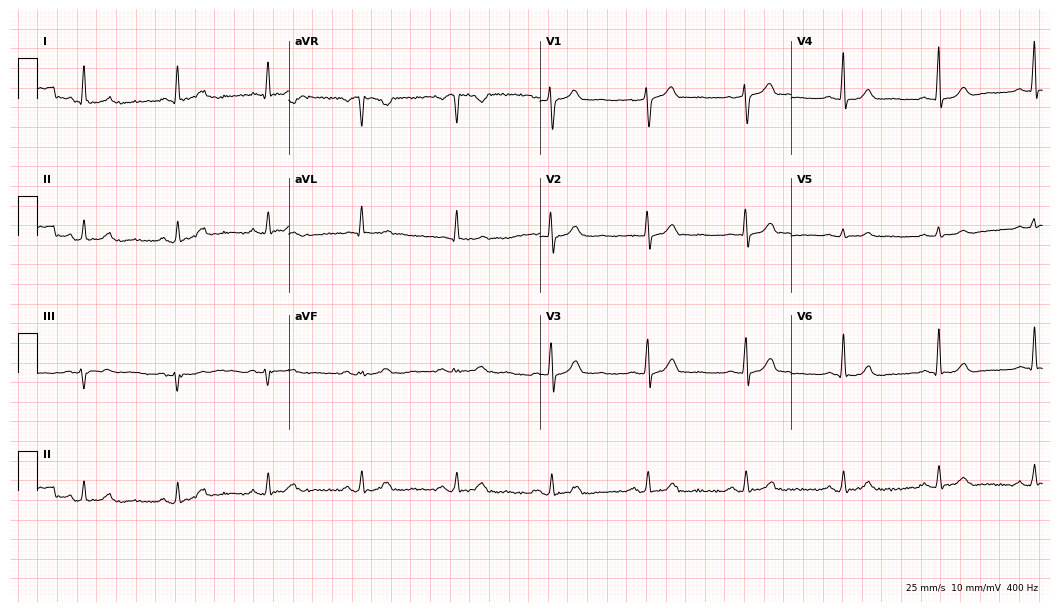
12-lead ECG from a male, 64 years old. Labelled as a normal ECG.